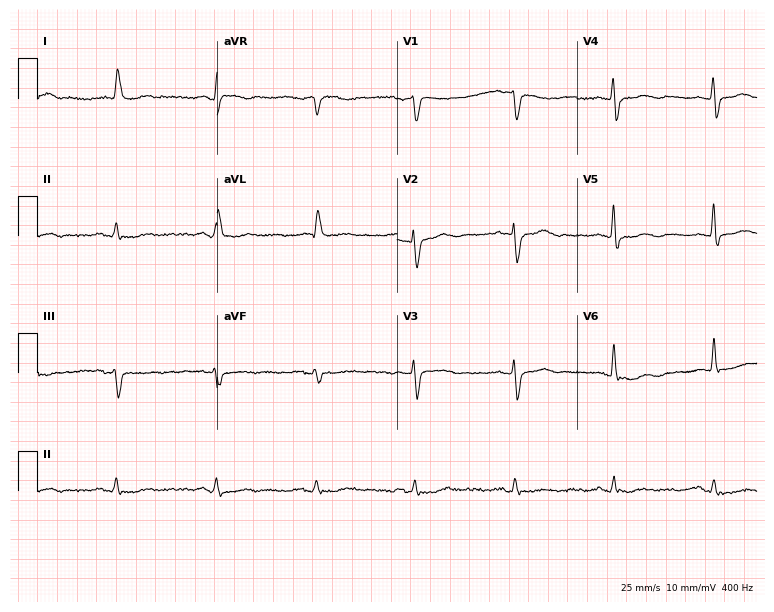
12-lead ECG (7.3-second recording at 400 Hz) from a male, 85 years old. Screened for six findings — first-degree AV block, right bundle branch block, left bundle branch block, sinus bradycardia, atrial fibrillation, sinus tachycardia — none is recorded.